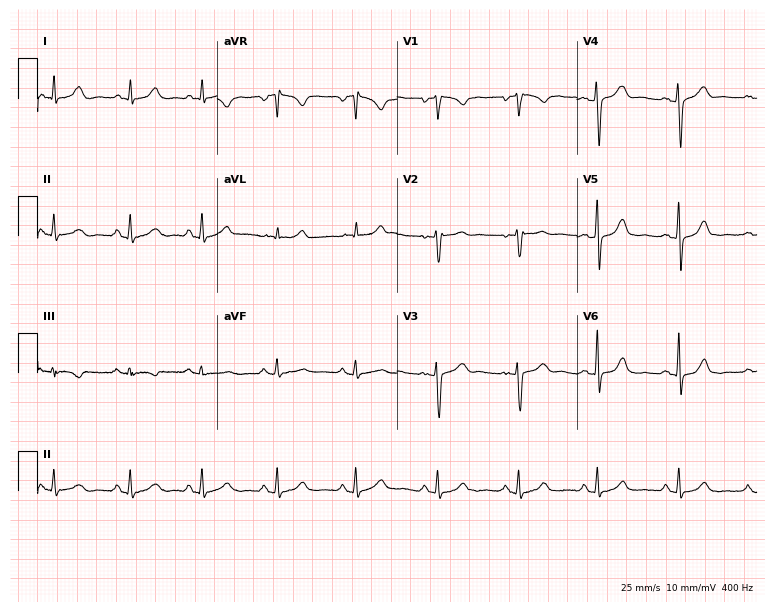
Electrocardiogram (7.3-second recording at 400 Hz), a female patient, 48 years old. Overall reading on record: normal ECG.